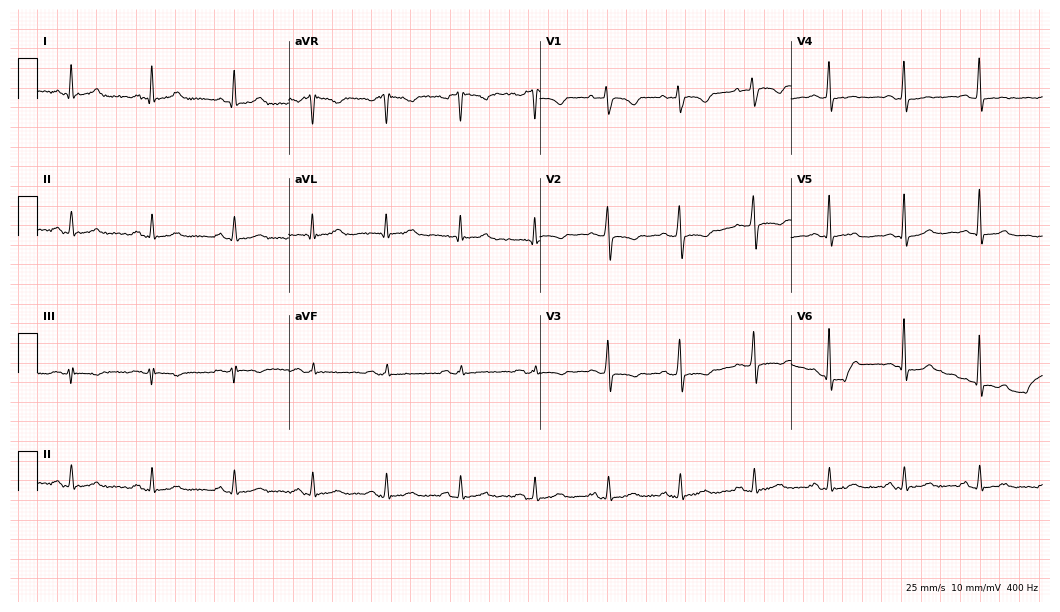
Standard 12-lead ECG recorded from a 46-year-old woman. None of these six findings is recorded: first-degree AV block, right bundle branch block (RBBB), left bundle branch block (LBBB), sinus bradycardia, atrial fibrillation (AF), sinus tachycardia. Only these six findings were labelled.